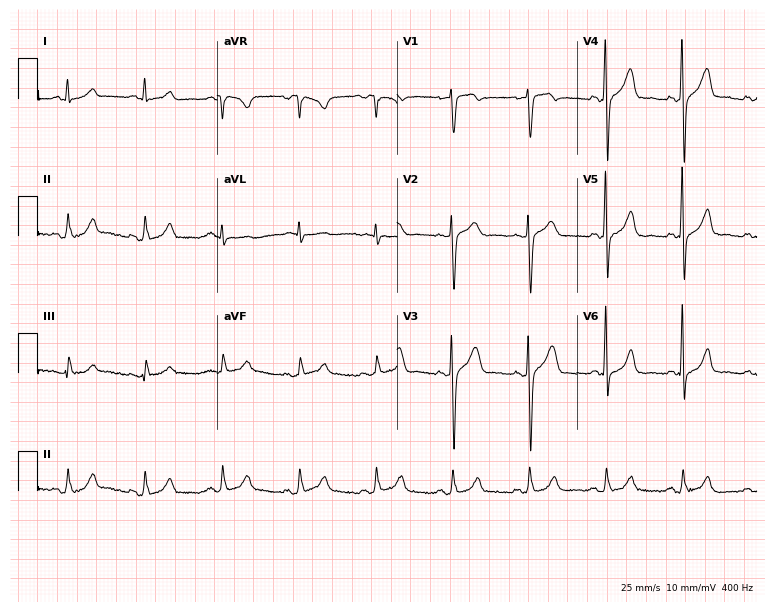
Electrocardiogram (7.3-second recording at 400 Hz), a 68-year-old female patient. Overall reading on record: normal ECG.